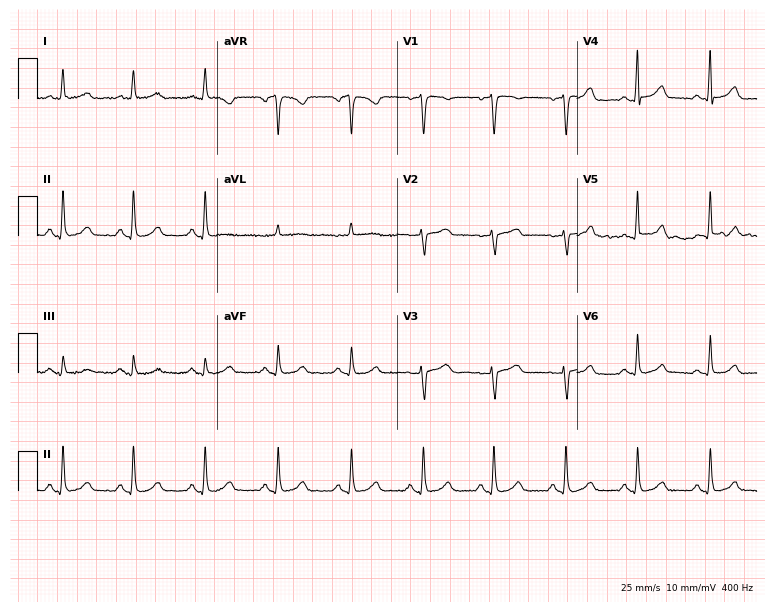
ECG (7.3-second recording at 400 Hz) — a 58-year-old female patient. Labelled as a normal ECG.